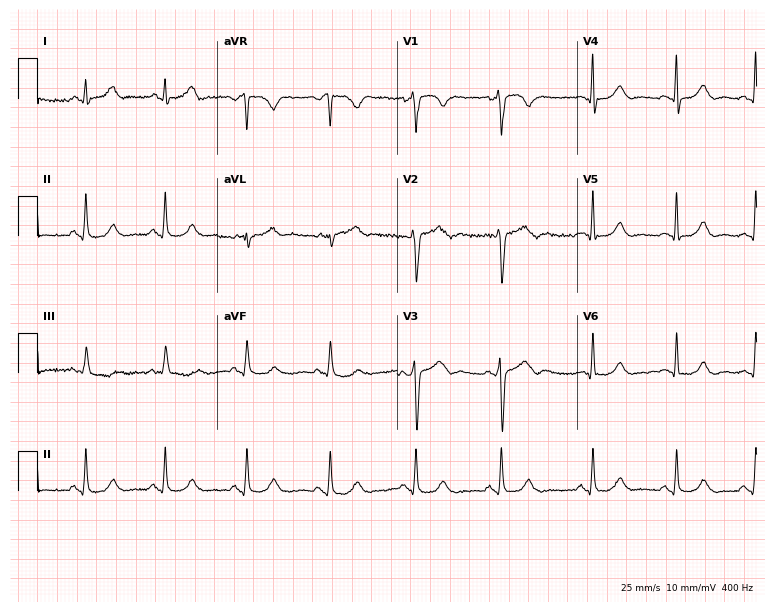
12-lead ECG from a man, 28 years old. Screened for six findings — first-degree AV block, right bundle branch block (RBBB), left bundle branch block (LBBB), sinus bradycardia, atrial fibrillation (AF), sinus tachycardia — none is recorded.